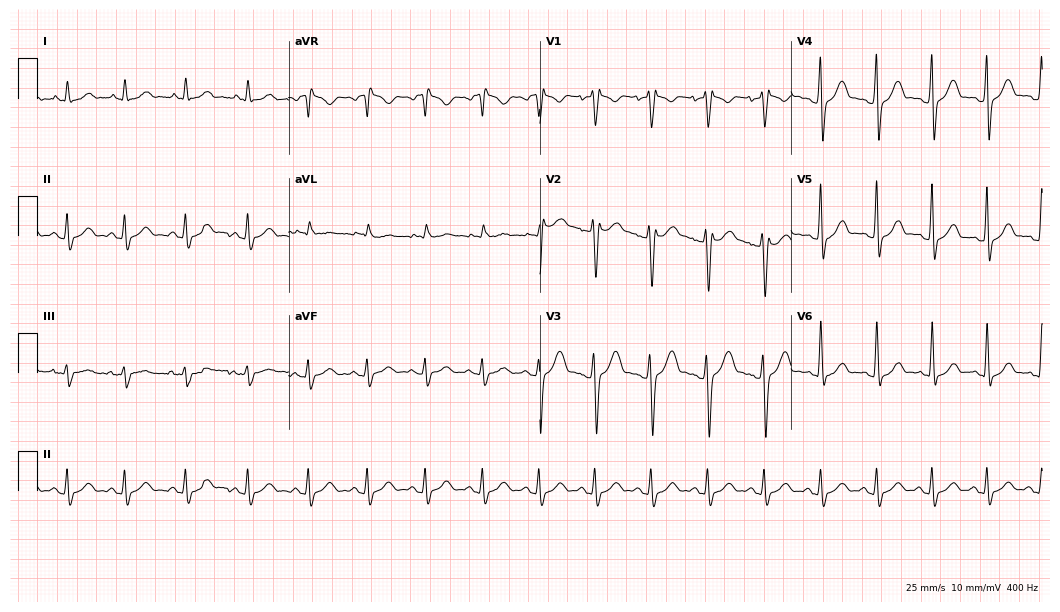
12-lead ECG from an 18-year-old man (10.2-second recording at 400 Hz). Shows sinus tachycardia (a sinus rate of 100 beats per minute or more).